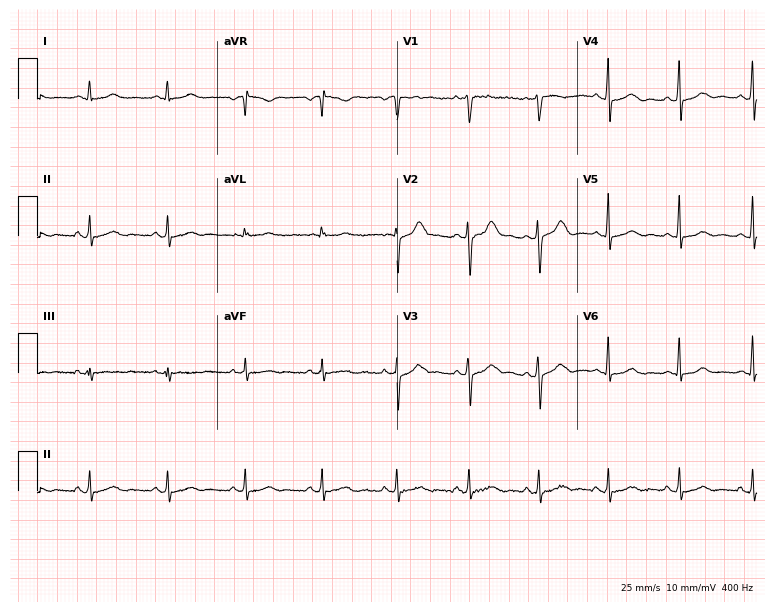
12-lead ECG (7.3-second recording at 400 Hz) from a female patient, 49 years old. Screened for six findings — first-degree AV block, right bundle branch block, left bundle branch block, sinus bradycardia, atrial fibrillation, sinus tachycardia — none is recorded. Only these six findings were labelled.